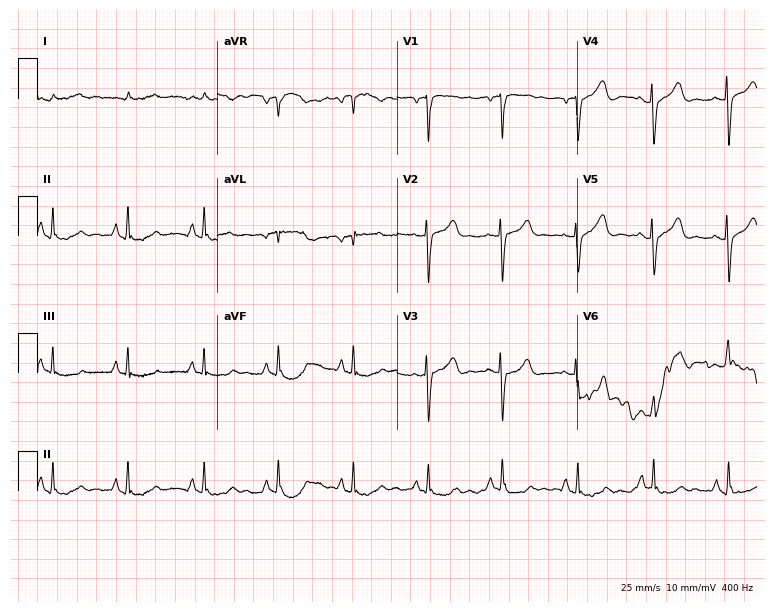
Resting 12-lead electrocardiogram. Patient: a 56-year-old male. None of these six findings is recorded: first-degree AV block, right bundle branch block (RBBB), left bundle branch block (LBBB), sinus bradycardia, atrial fibrillation (AF), sinus tachycardia.